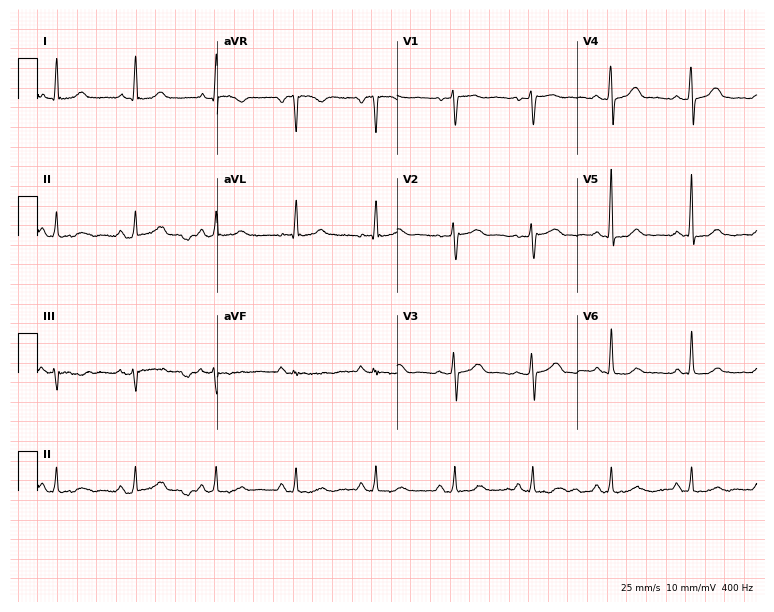
Resting 12-lead electrocardiogram. Patient: a 53-year-old female. None of these six findings is recorded: first-degree AV block, right bundle branch block, left bundle branch block, sinus bradycardia, atrial fibrillation, sinus tachycardia. Only these six findings were labelled.